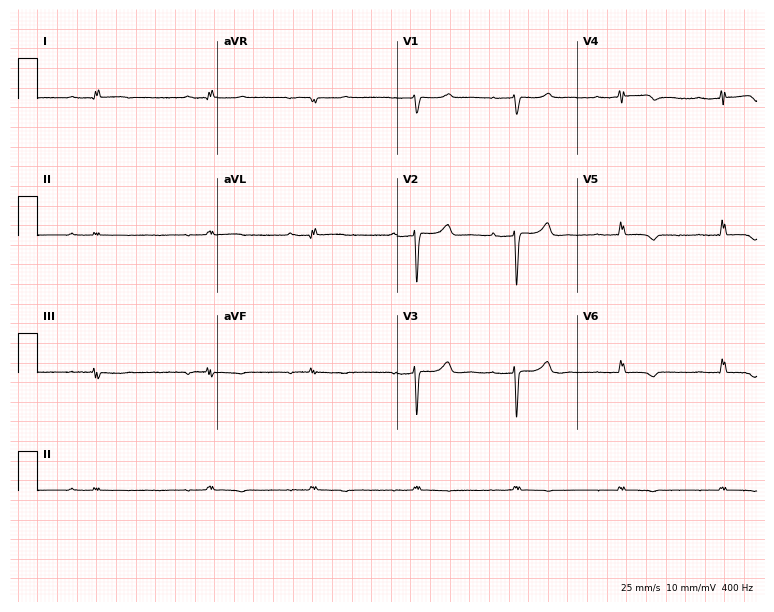
Standard 12-lead ECG recorded from a 41-year-old female patient. The tracing shows first-degree AV block.